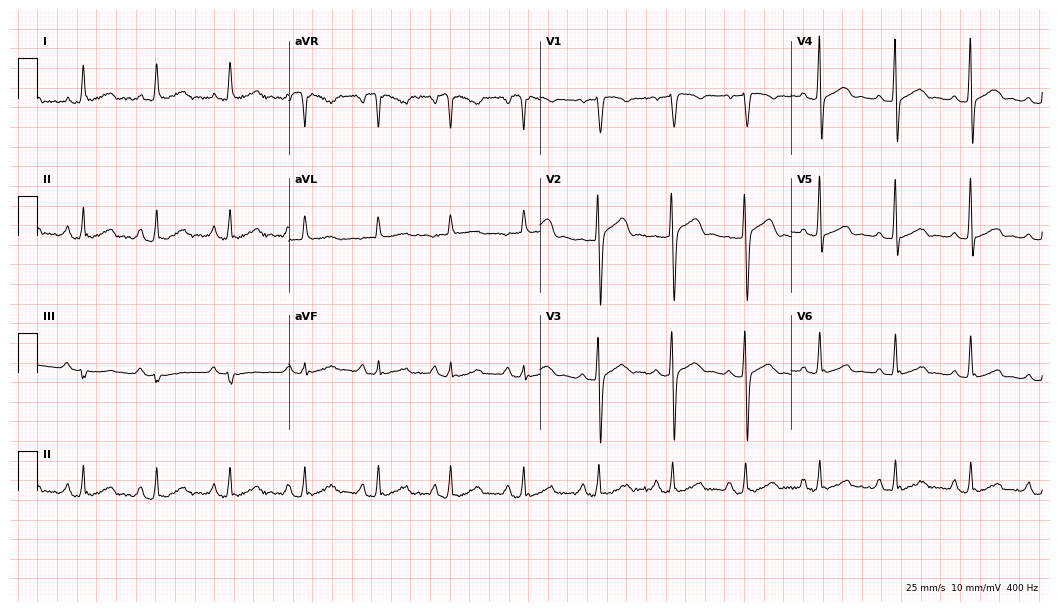
ECG — a 58-year-old man. Labelled as a normal ECG.